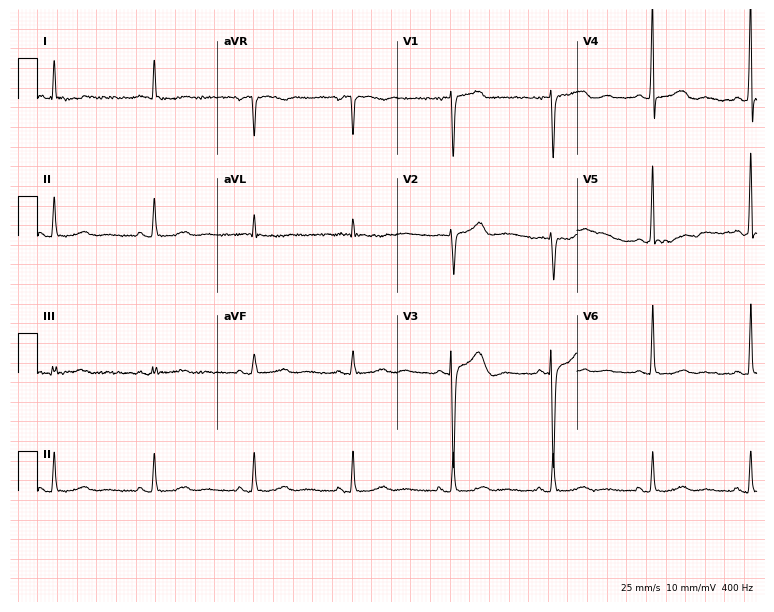
12-lead ECG (7.3-second recording at 400 Hz) from a female, 75 years old. Screened for six findings — first-degree AV block, right bundle branch block, left bundle branch block, sinus bradycardia, atrial fibrillation, sinus tachycardia — none is recorded. Other findings, if any, are not listed.